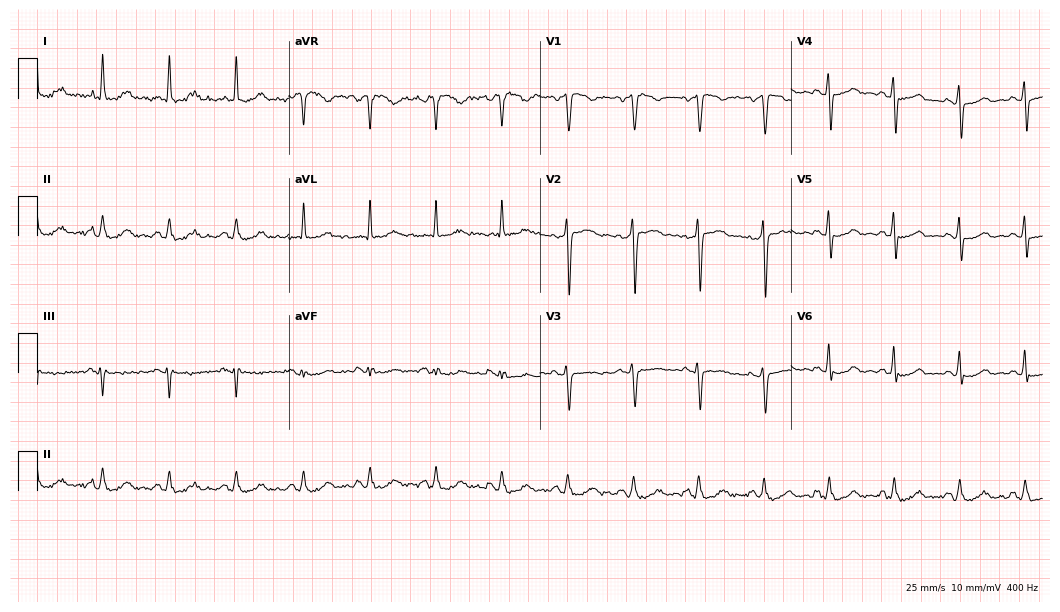
Standard 12-lead ECG recorded from a 56-year-old female (10.2-second recording at 400 Hz). Read as a normal ECG.